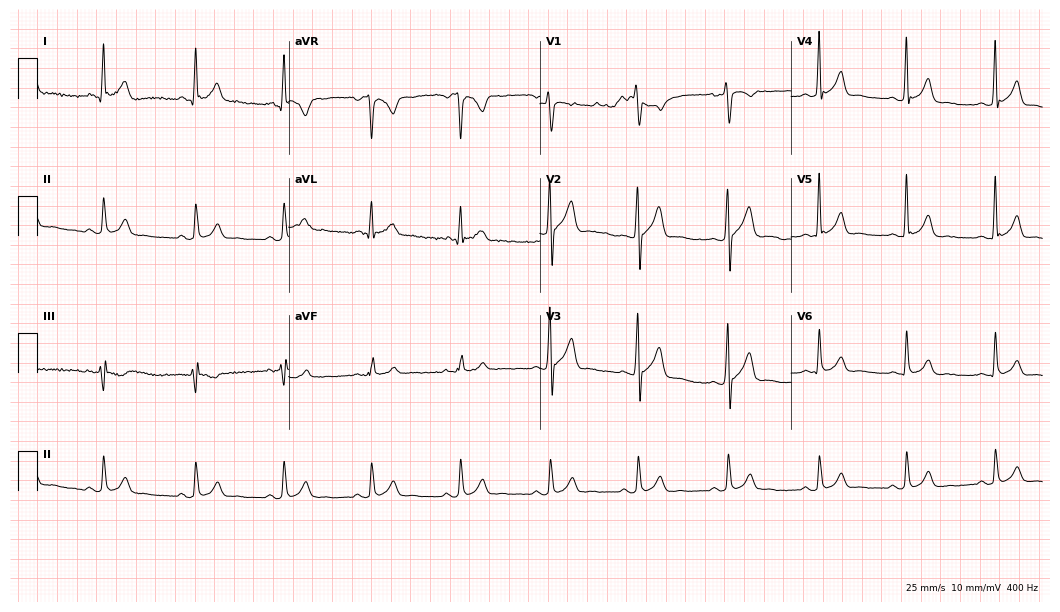
12-lead ECG from a male, 21 years old. Recorded interpretation: within normal limits.